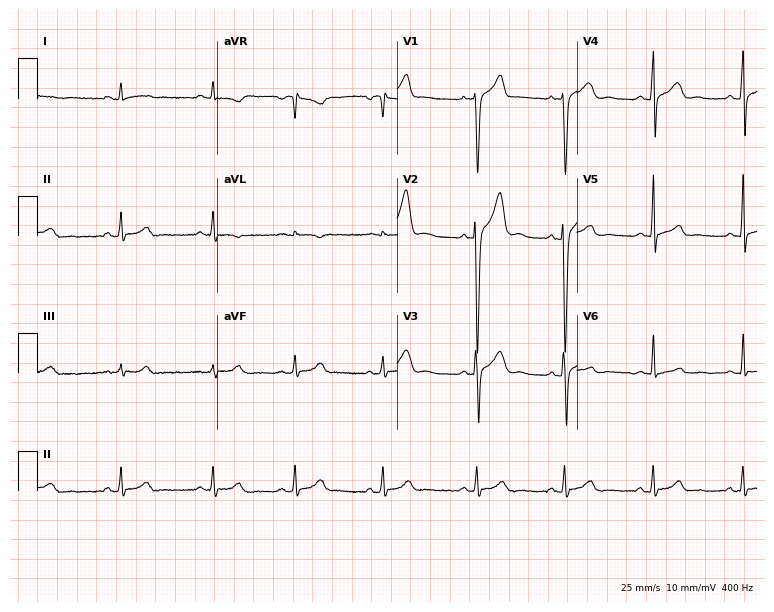
12-lead ECG from a male, 20 years old. Labelled as a normal ECG.